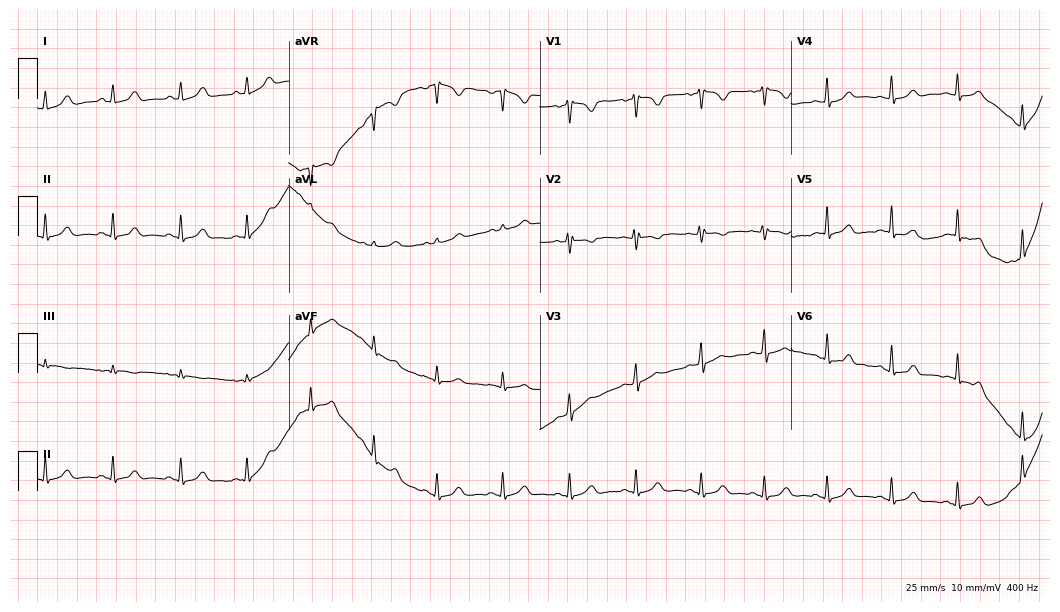
12-lead ECG from a female, 25 years old. Recorded interpretation: within normal limits.